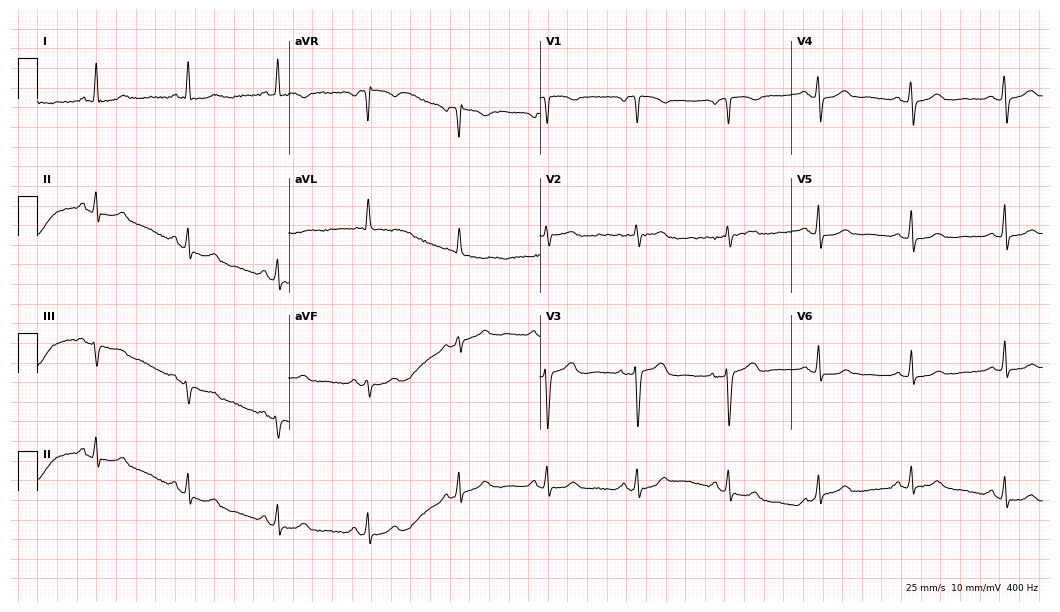
Electrocardiogram (10.2-second recording at 400 Hz), a 55-year-old woman. Overall reading on record: normal ECG.